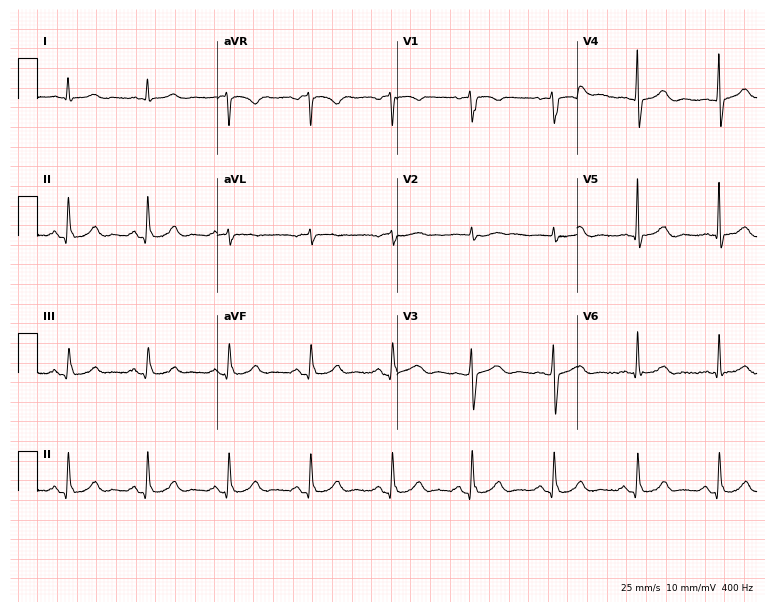
12-lead ECG from a 69-year-old man. Labelled as a normal ECG.